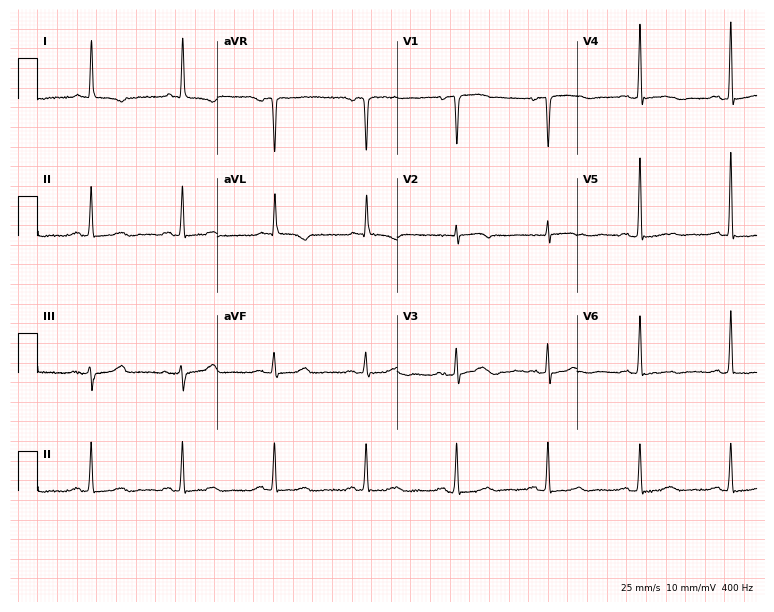
Electrocardiogram, a woman, 85 years old. Of the six screened findings (first-degree AV block, right bundle branch block, left bundle branch block, sinus bradycardia, atrial fibrillation, sinus tachycardia), none is recorded.